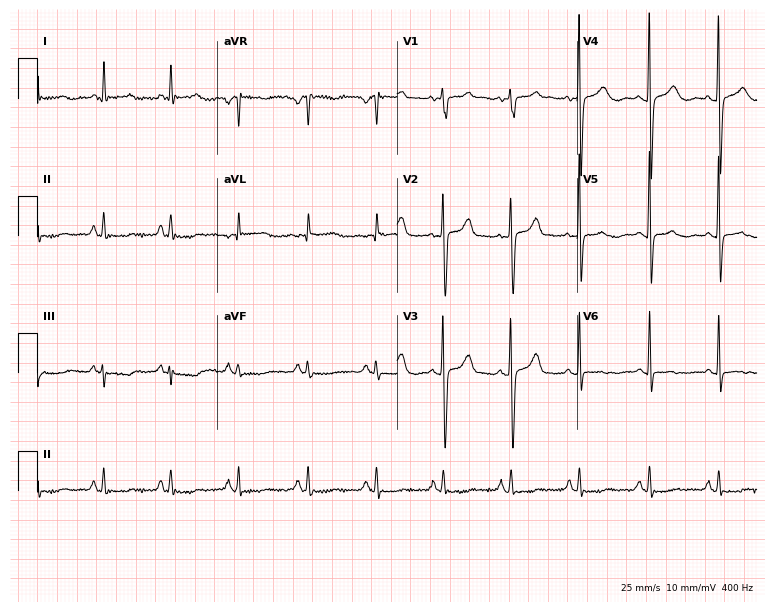
12-lead ECG (7.3-second recording at 400 Hz) from a 66-year-old woman. Screened for six findings — first-degree AV block, right bundle branch block (RBBB), left bundle branch block (LBBB), sinus bradycardia, atrial fibrillation (AF), sinus tachycardia — none is recorded.